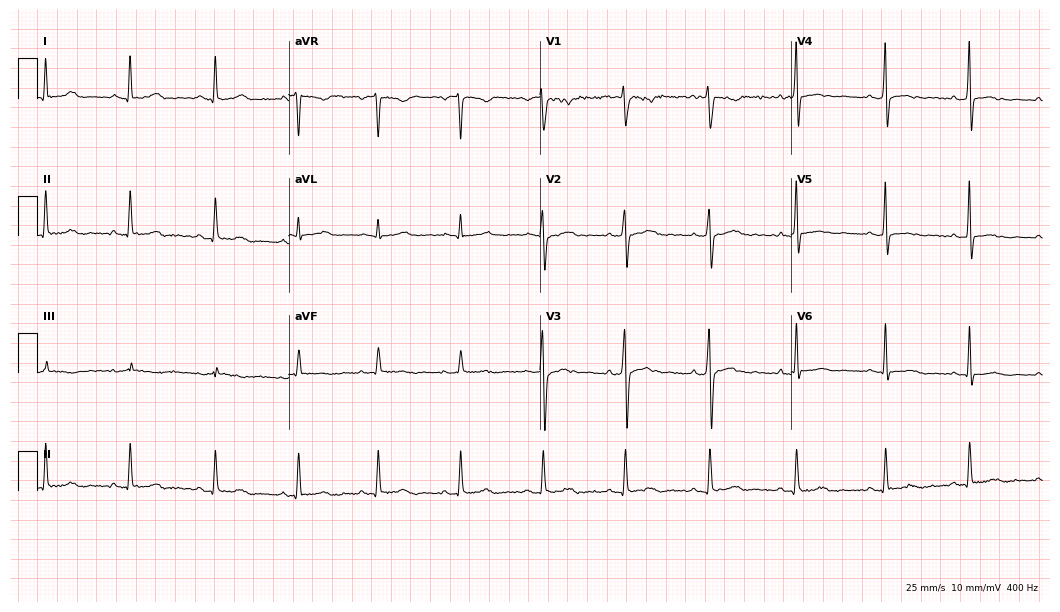
Electrocardiogram (10.2-second recording at 400 Hz), a female patient, 25 years old. Of the six screened findings (first-degree AV block, right bundle branch block (RBBB), left bundle branch block (LBBB), sinus bradycardia, atrial fibrillation (AF), sinus tachycardia), none is recorded. Other findings, if any, are not listed.